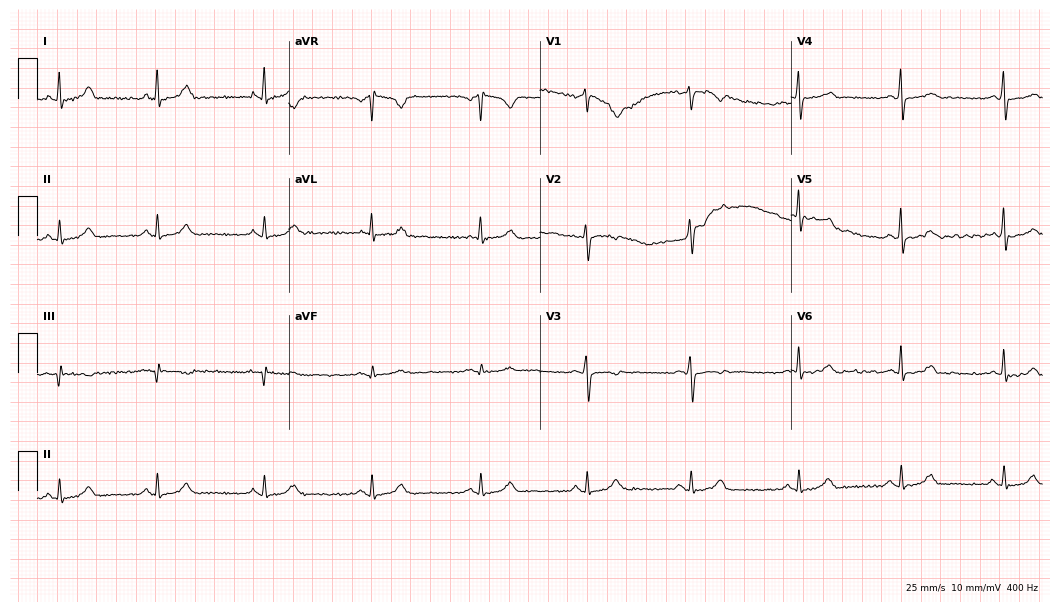
12-lead ECG (10.2-second recording at 400 Hz) from a female patient, 42 years old. Labelled as a normal ECG.